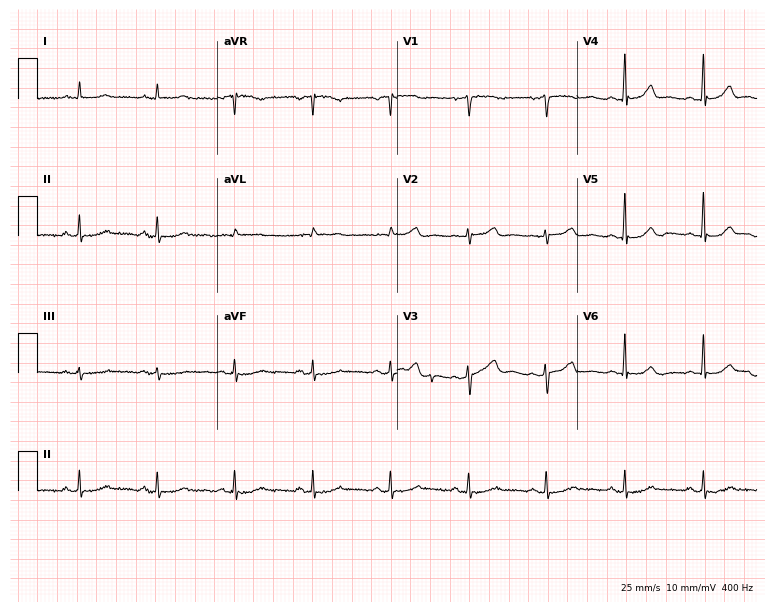
12-lead ECG from a 50-year-old female patient. Labelled as a normal ECG.